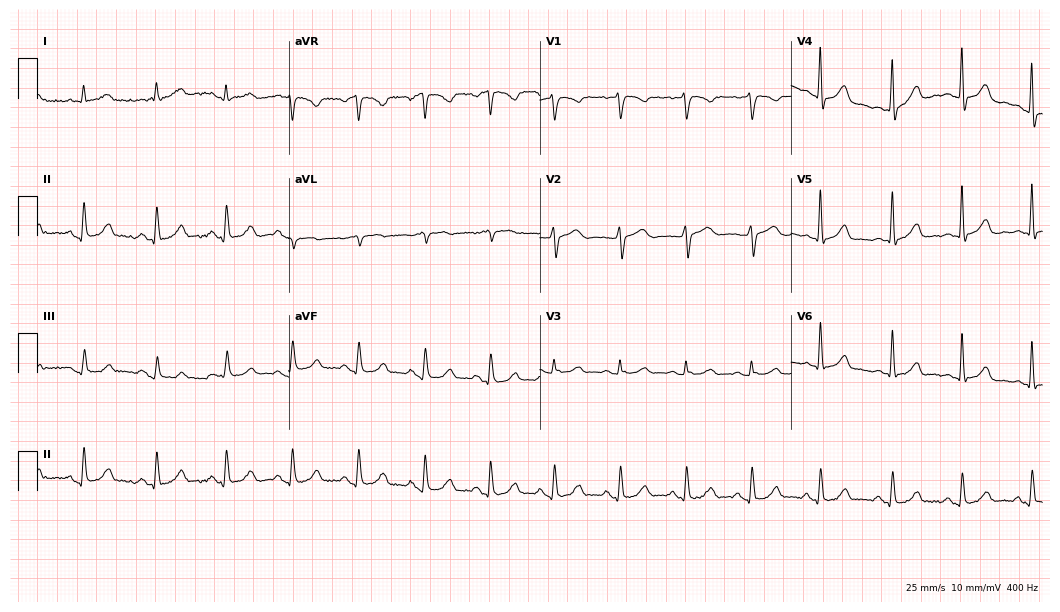
Electrocardiogram, a woman, 43 years old. Overall reading on record: normal ECG.